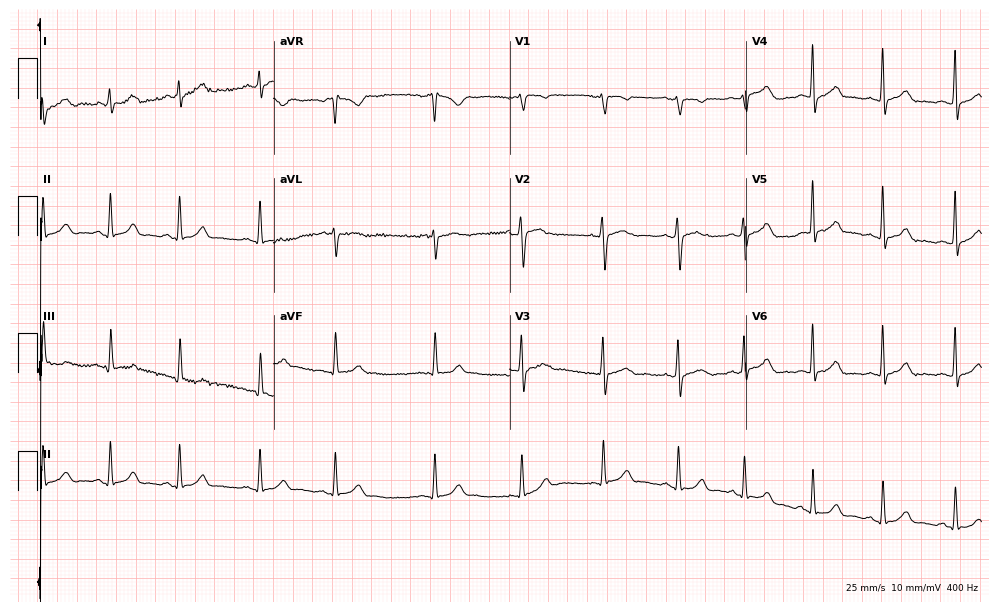
12-lead ECG from a female patient, 22 years old. No first-degree AV block, right bundle branch block (RBBB), left bundle branch block (LBBB), sinus bradycardia, atrial fibrillation (AF) or sinus tachycardia recorded for this tracing.